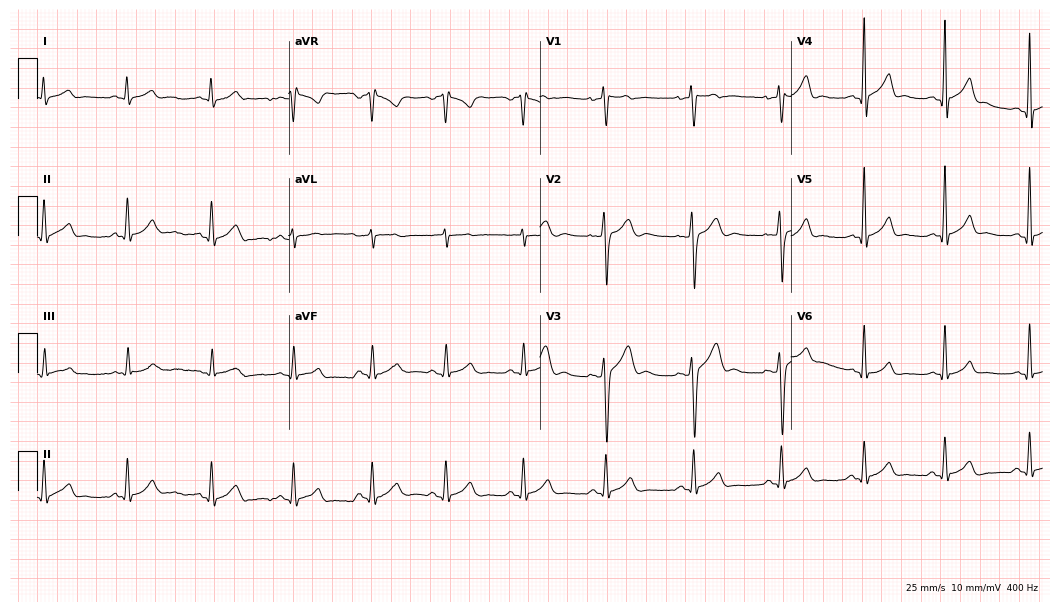
12-lead ECG from a man, 27 years old. Screened for six findings — first-degree AV block, right bundle branch block, left bundle branch block, sinus bradycardia, atrial fibrillation, sinus tachycardia — none is recorded.